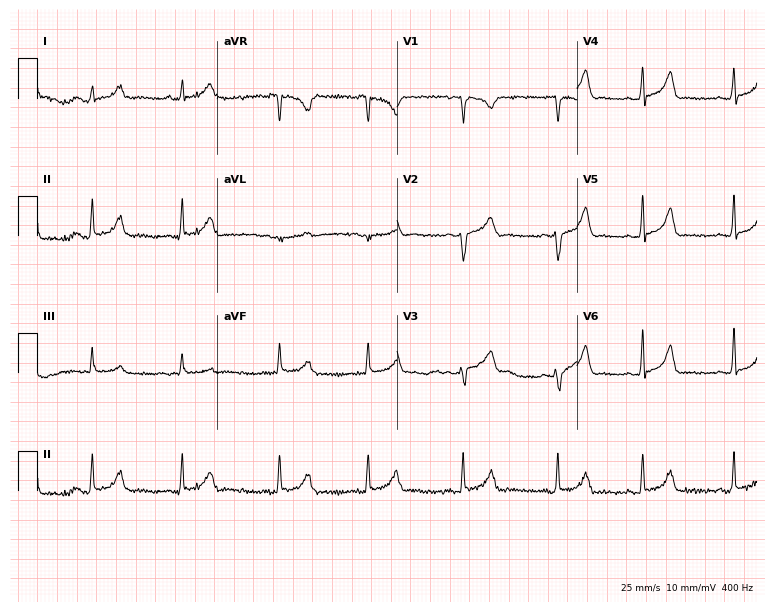
Electrocardiogram, a female, 23 years old. Overall reading on record: normal ECG.